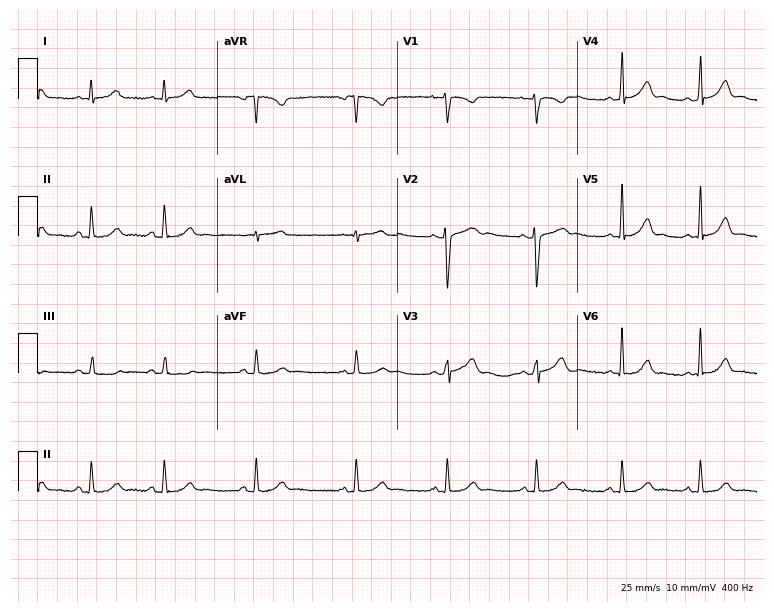
12-lead ECG (7.3-second recording at 400 Hz) from a woman, 27 years old. Labelled as a normal ECG.